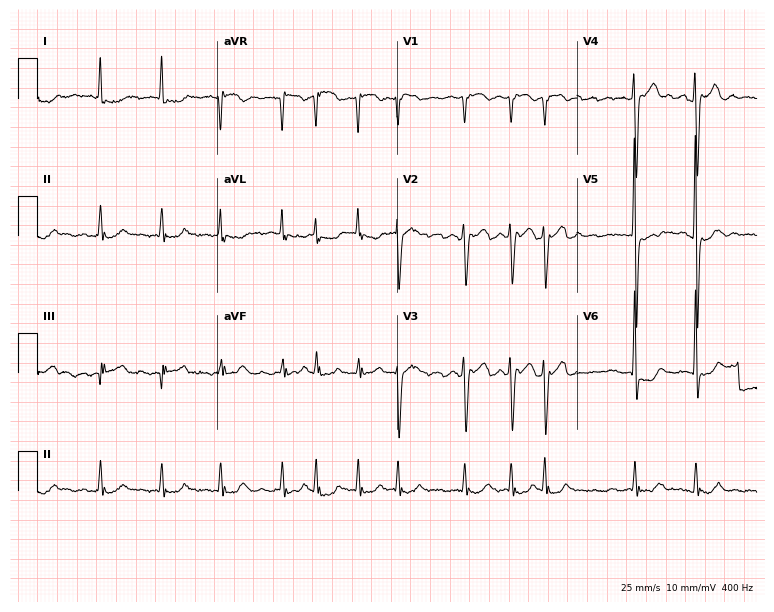
Resting 12-lead electrocardiogram. Patient: a male, 85 years old. The tracing shows atrial fibrillation (AF).